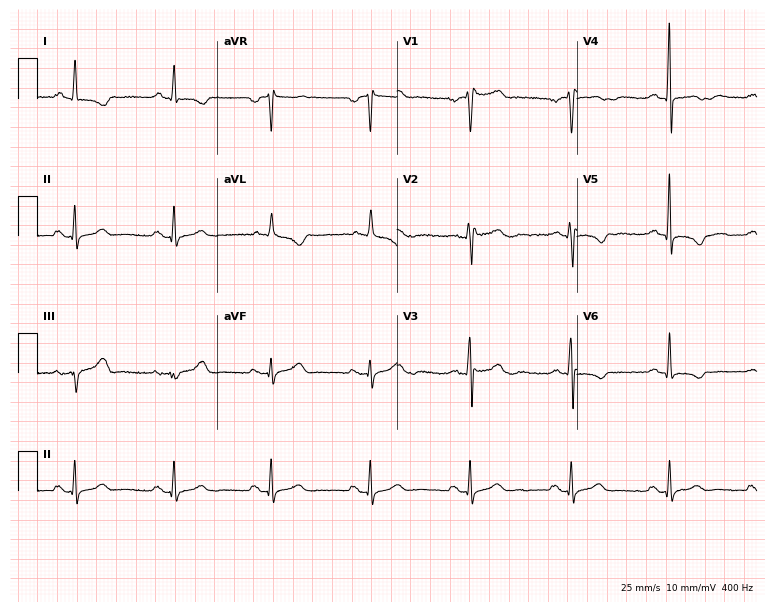
12-lead ECG from a male, 70 years old (7.3-second recording at 400 Hz). No first-degree AV block, right bundle branch block (RBBB), left bundle branch block (LBBB), sinus bradycardia, atrial fibrillation (AF) or sinus tachycardia recorded for this tracing.